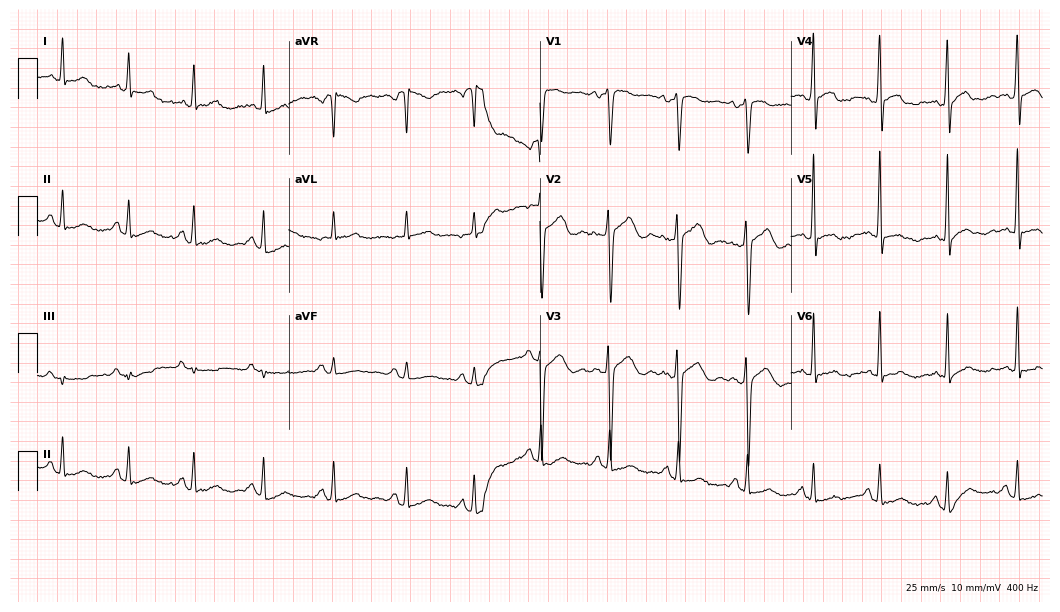
Standard 12-lead ECG recorded from a man, 41 years old (10.2-second recording at 400 Hz). Read as a normal ECG.